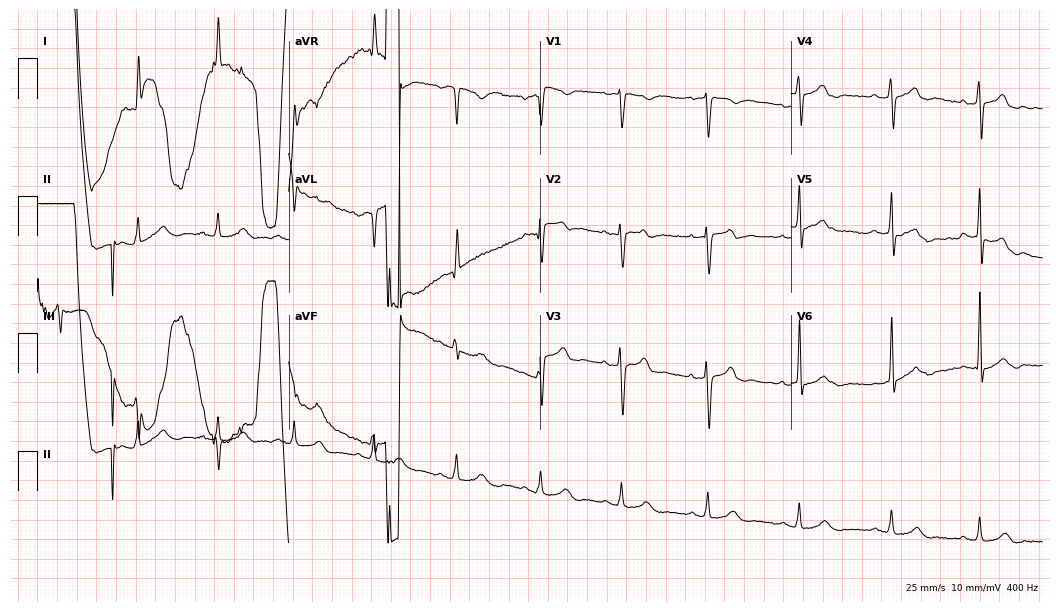
12-lead ECG from a 44-year-old woman. Recorded interpretation: within normal limits.